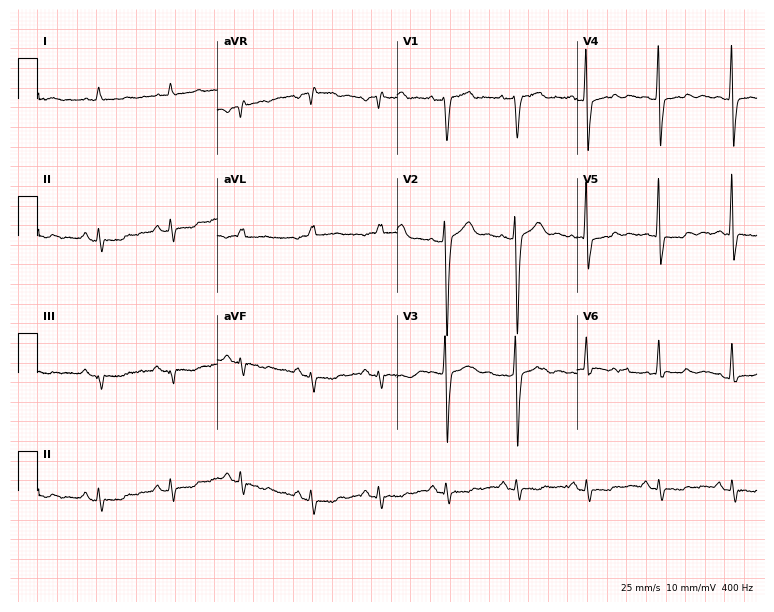
Resting 12-lead electrocardiogram. Patient: a 78-year-old male. None of these six findings is recorded: first-degree AV block, right bundle branch block, left bundle branch block, sinus bradycardia, atrial fibrillation, sinus tachycardia.